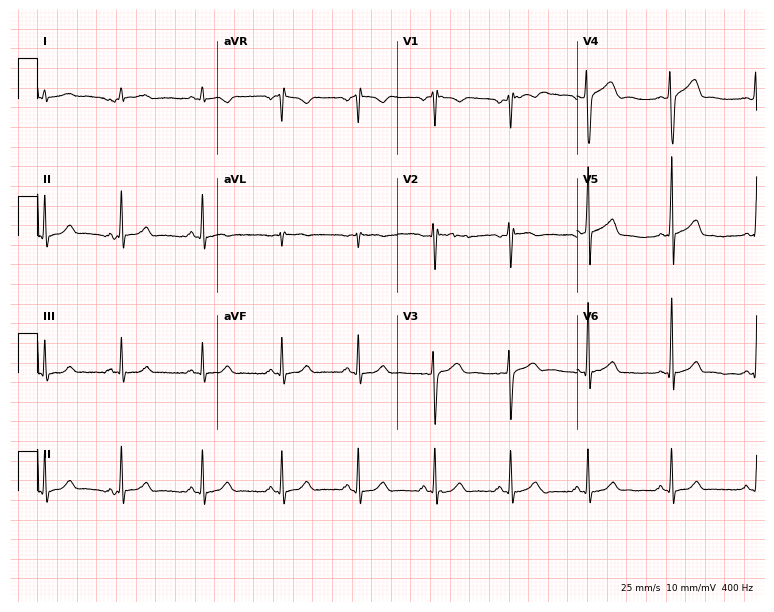
12-lead ECG from a male patient, 24 years old (7.3-second recording at 400 Hz). Recorded interpretation: within normal limits.